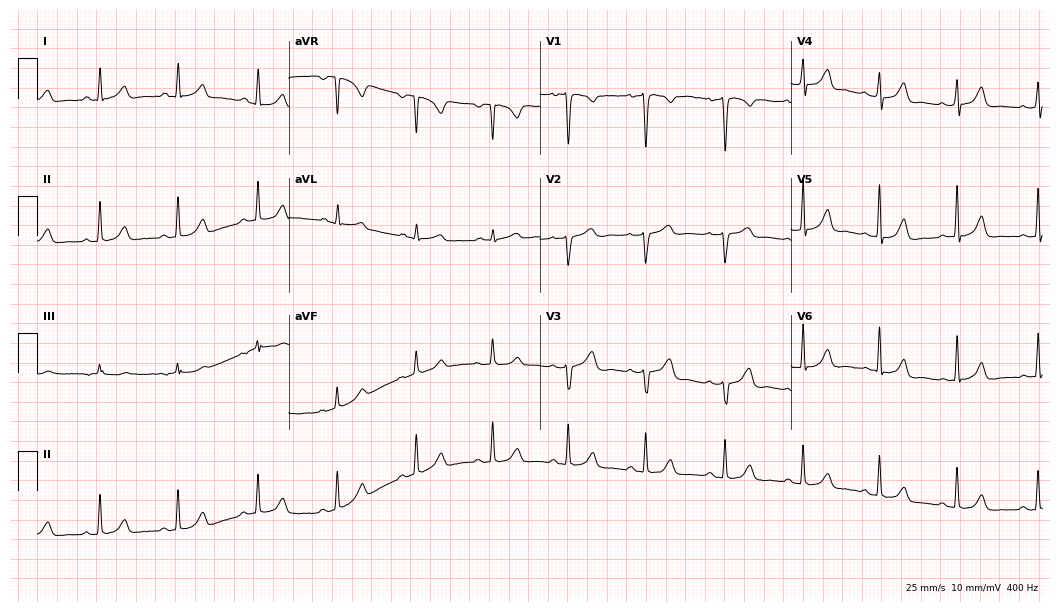
Resting 12-lead electrocardiogram. Patient: a 40-year-old woman. None of these six findings is recorded: first-degree AV block, right bundle branch block, left bundle branch block, sinus bradycardia, atrial fibrillation, sinus tachycardia.